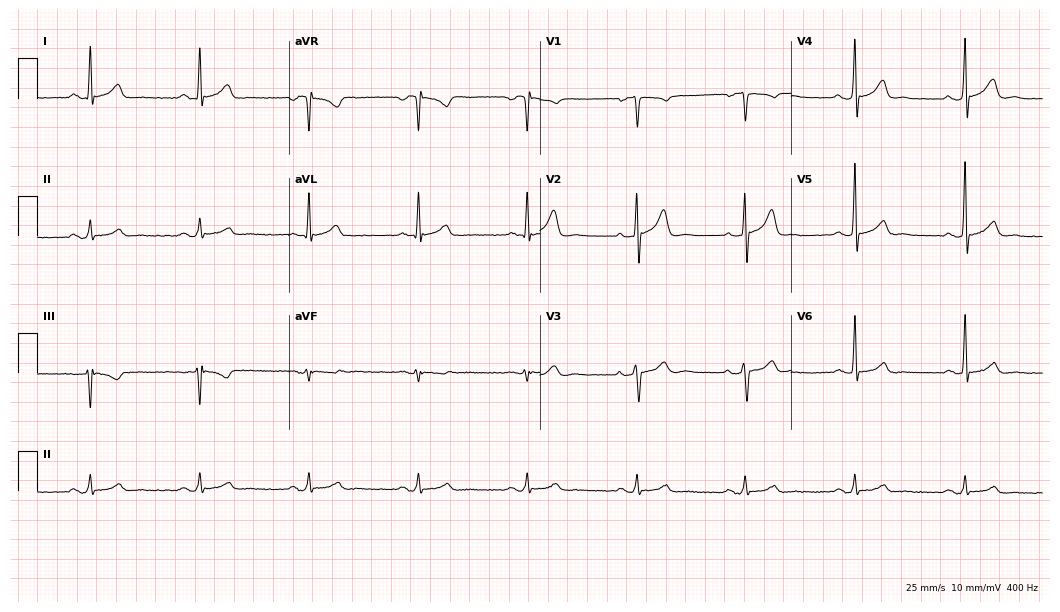
Standard 12-lead ECG recorded from a 49-year-old man. Read as a normal ECG.